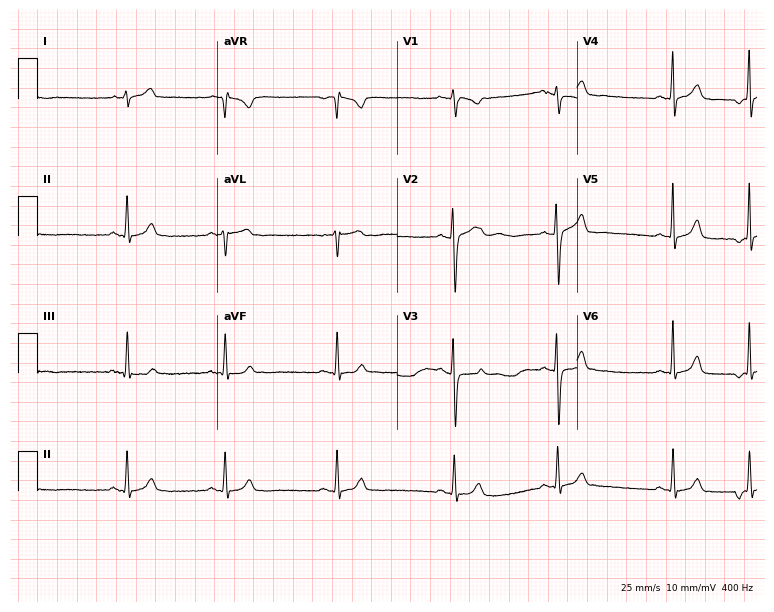
Standard 12-lead ECG recorded from a woman, 23 years old. None of these six findings is recorded: first-degree AV block, right bundle branch block (RBBB), left bundle branch block (LBBB), sinus bradycardia, atrial fibrillation (AF), sinus tachycardia. Only these six findings were labelled.